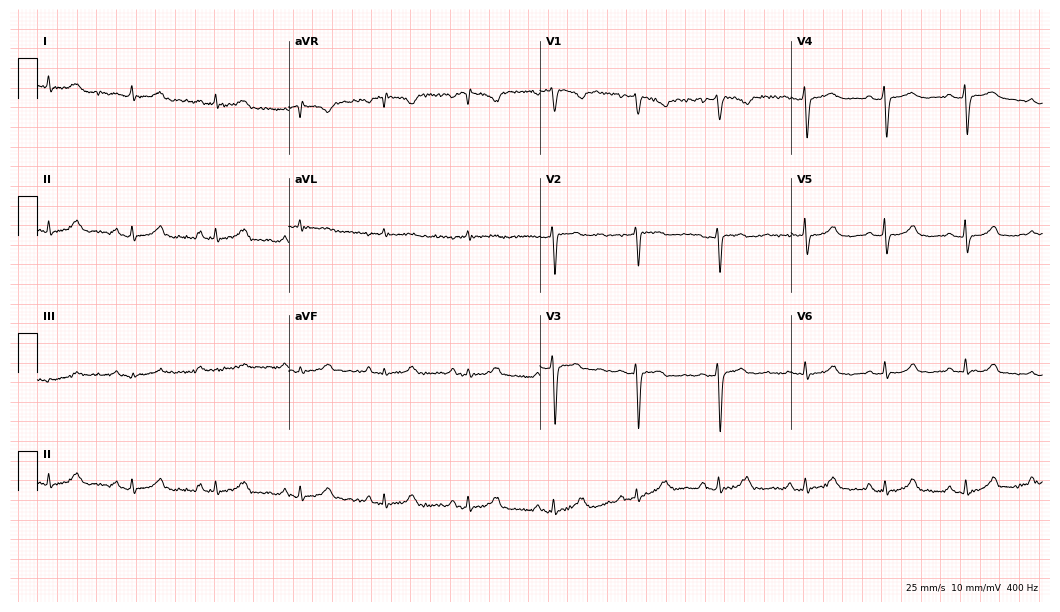
Electrocardiogram (10.2-second recording at 400 Hz), a 47-year-old woman. Overall reading on record: normal ECG.